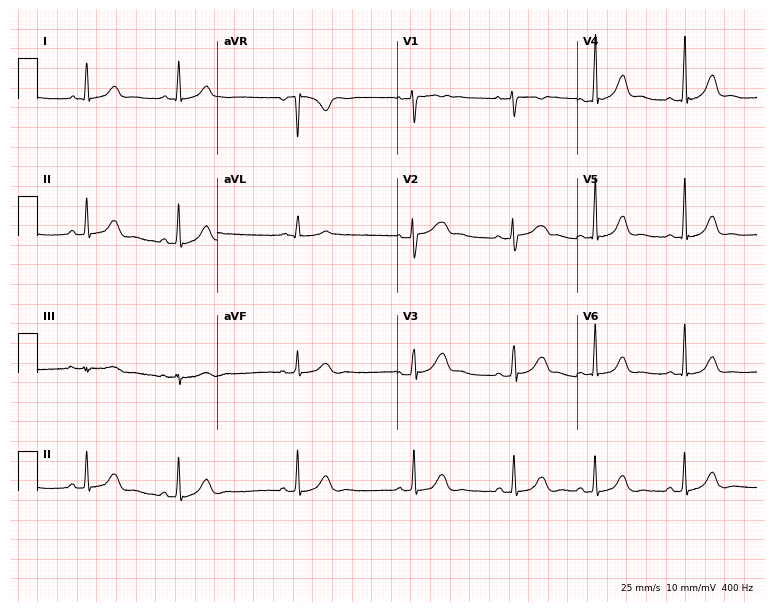
12-lead ECG from a 41-year-old female patient. Recorded interpretation: within normal limits.